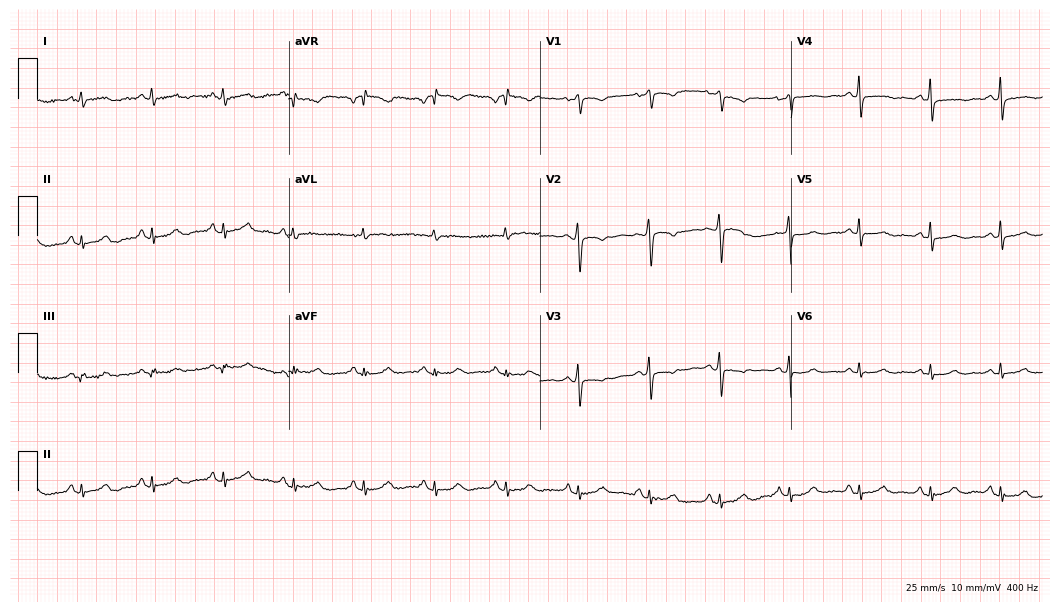
12-lead ECG from a female, 70 years old (10.2-second recording at 400 Hz). No first-degree AV block, right bundle branch block (RBBB), left bundle branch block (LBBB), sinus bradycardia, atrial fibrillation (AF) or sinus tachycardia recorded for this tracing. Findings outside these six are not listed.